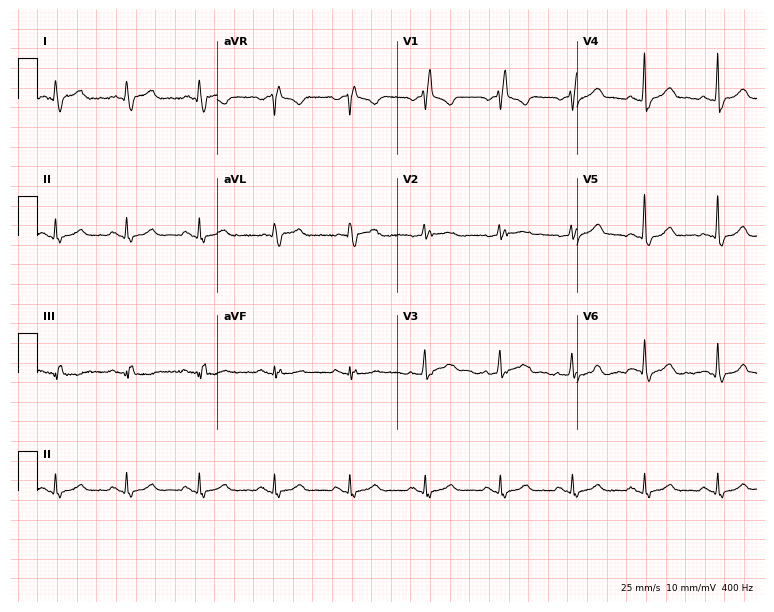
Standard 12-lead ECG recorded from a 68-year-old male. The tracing shows right bundle branch block.